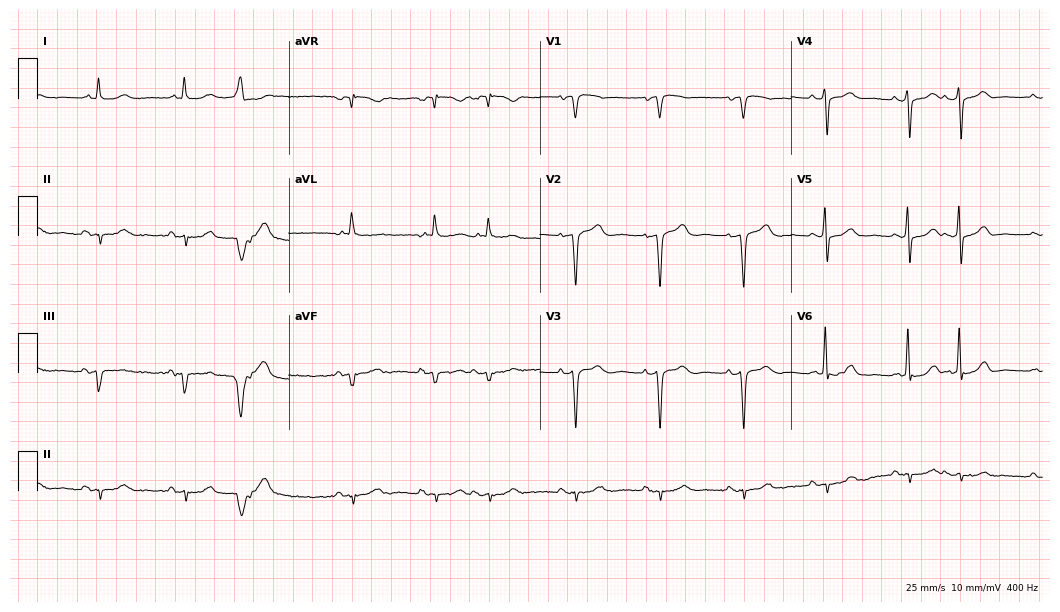
12-lead ECG from an 84-year-old man (10.2-second recording at 400 Hz). No first-degree AV block, right bundle branch block, left bundle branch block, sinus bradycardia, atrial fibrillation or sinus tachycardia recorded for this tracing. Other findings, if any, are not listed.